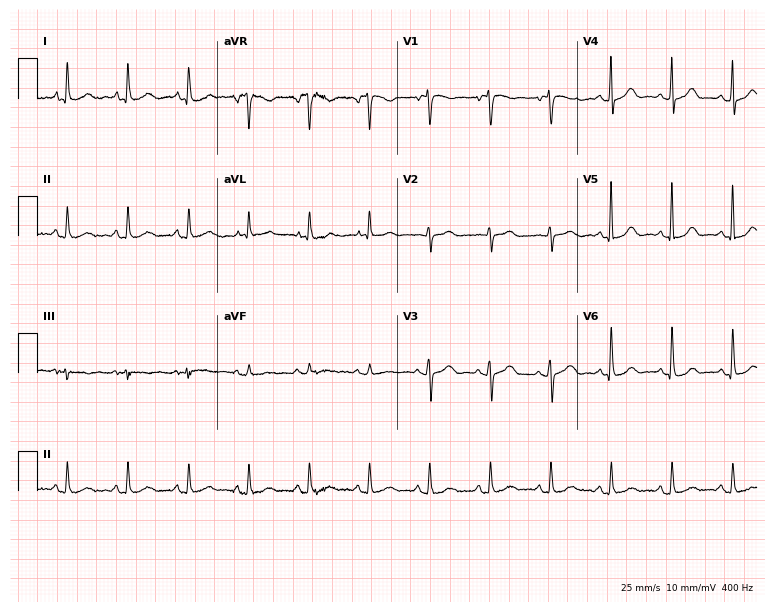
Resting 12-lead electrocardiogram. Patient: a female, 73 years old. None of these six findings is recorded: first-degree AV block, right bundle branch block, left bundle branch block, sinus bradycardia, atrial fibrillation, sinus tachycardia.